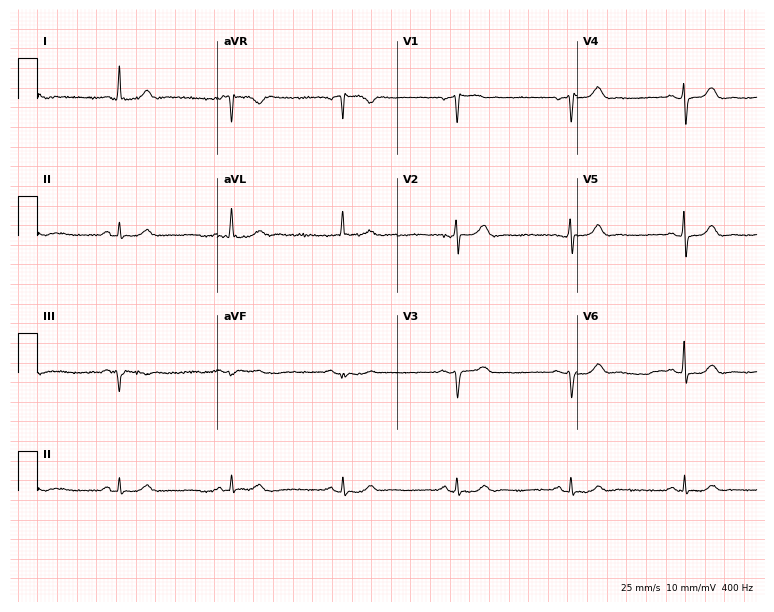
12-lead ECG from a female, 69 years old. Recorded interpretation: within normal limits.